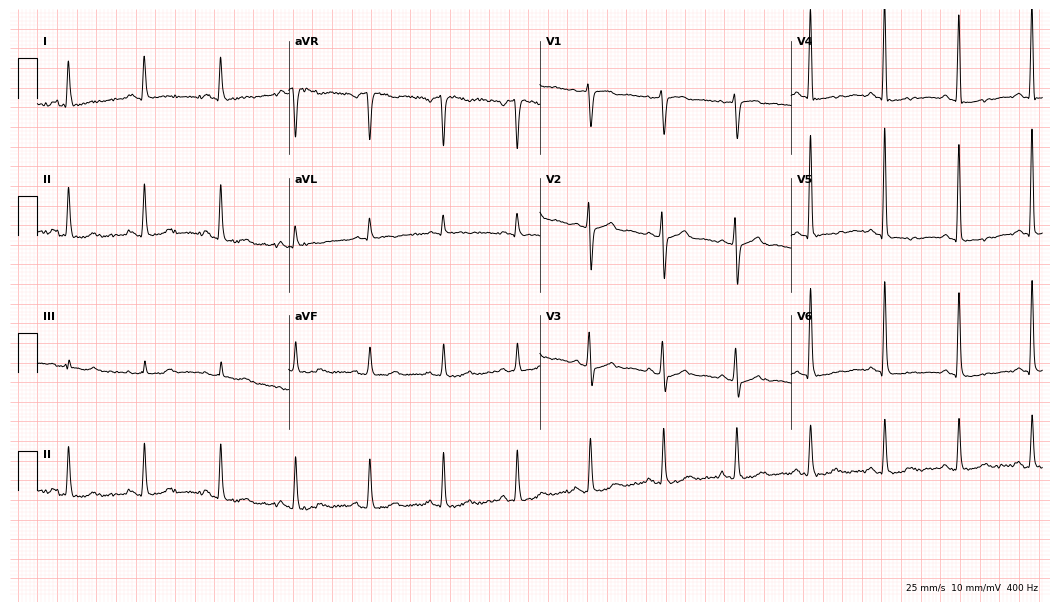
ECG (10.2-second recording at 400 Hz) — a 72-year-old female patient. Screened for six findings — first-degree AV block, right bundle branch block, left bundle branch block, sinus bradycardia, atrial fibrillation, sinus tachycardia — none is recorded. Findings outside these six are not listed.